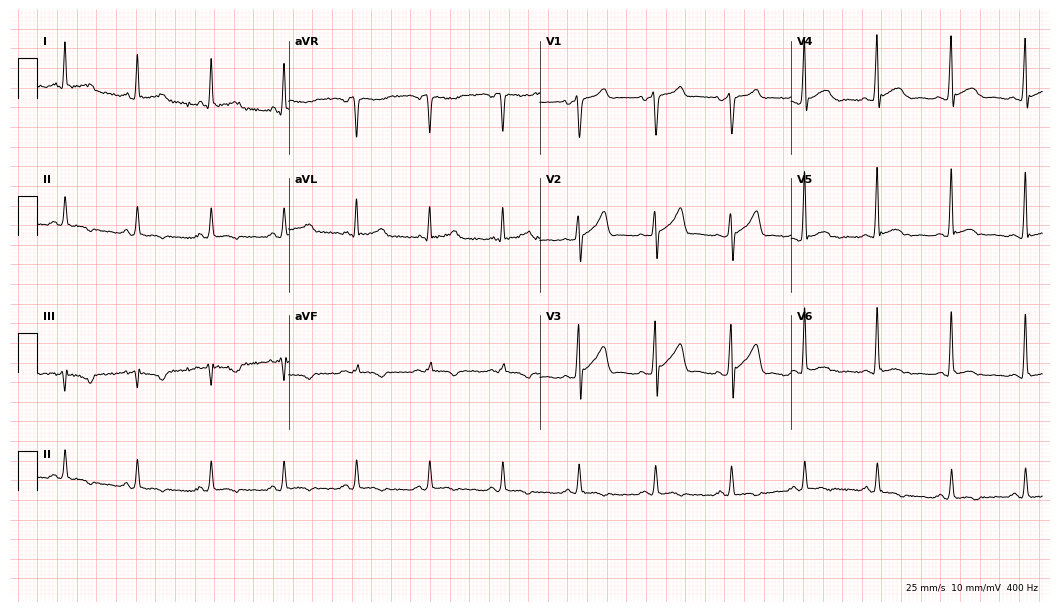
12-lead ECG from a 28-year-old male patient (10.2-second recording at 400 Hz). Recorded interpretation: within normal limits.